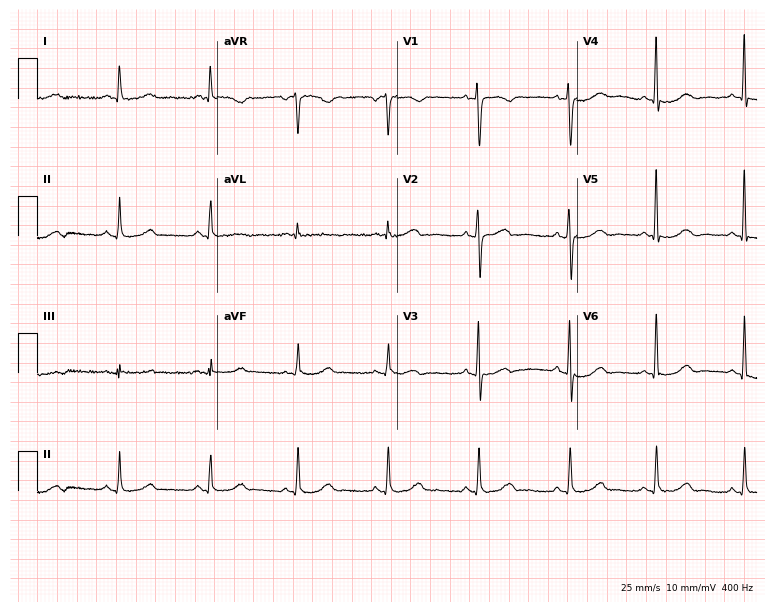
Standard 12-lead ECG recorded from a female patient, 52 years old. None of these six findings is recorded: first-degree AV block, right bundle branch block, left bundle branch block, sinus bradycardia, atrial fibrillation, sinus tachycardia. Other findings, if any, are not listed.